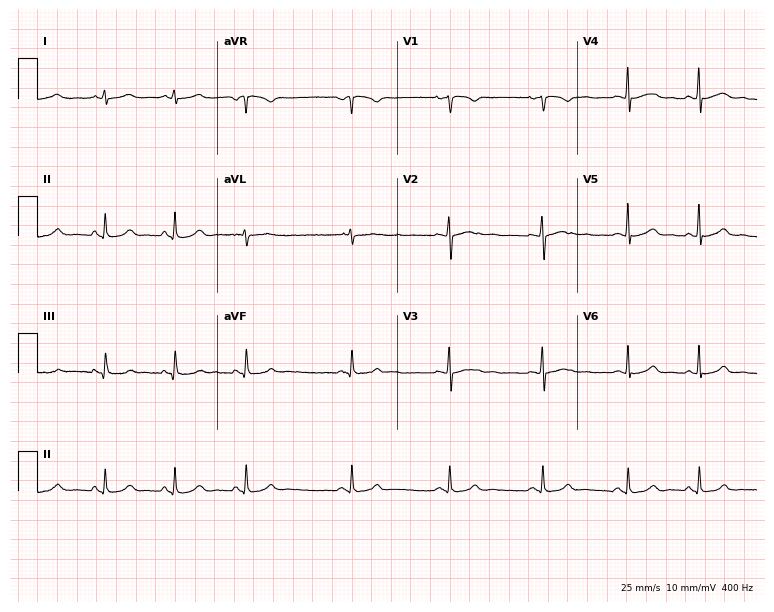
Resting 12-lead electrocardiogram (7.3-second recording at 400 Hz). Patient: a woman, 25 years old. Read as a normal ECG.